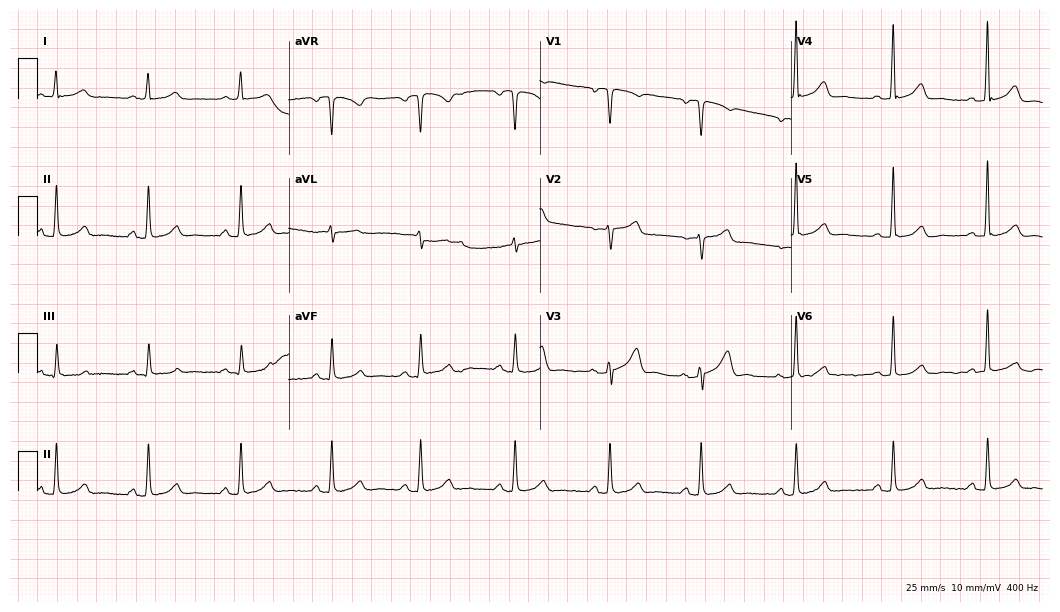
Standard 12-lead ECG recorded from a 59-year-old woman. Read as a normal ECG.